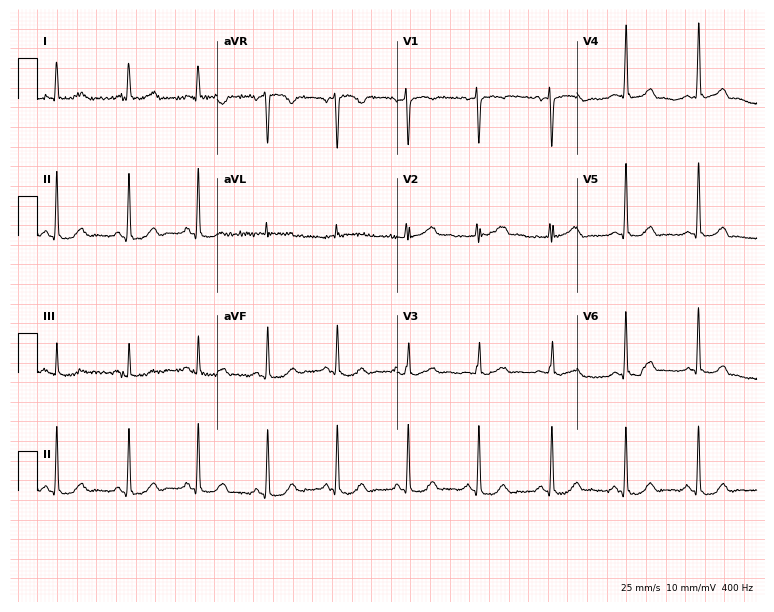
Resting 12-lead electrocardiogram. Patient: a 42-year-old female. None of these six findings is recorded: first-degree AV block, right bundle branch block, left bundle branch block, sinus bradycardia, atrial fibrillation, sinus tachycardia. Other findings, if any, are not listed.